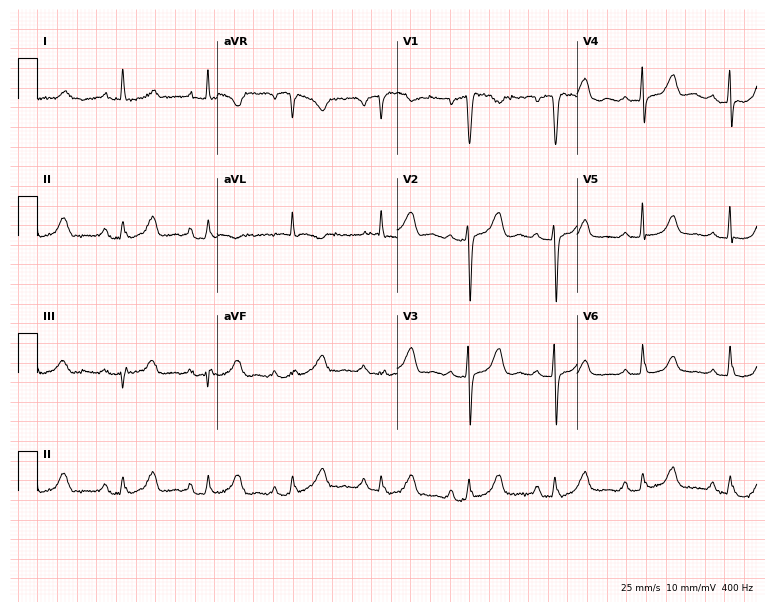
Electrocardiogram (7.3-second recording at 400 Hz), a female, 46 years old. Overall reading on record: normal ECG.